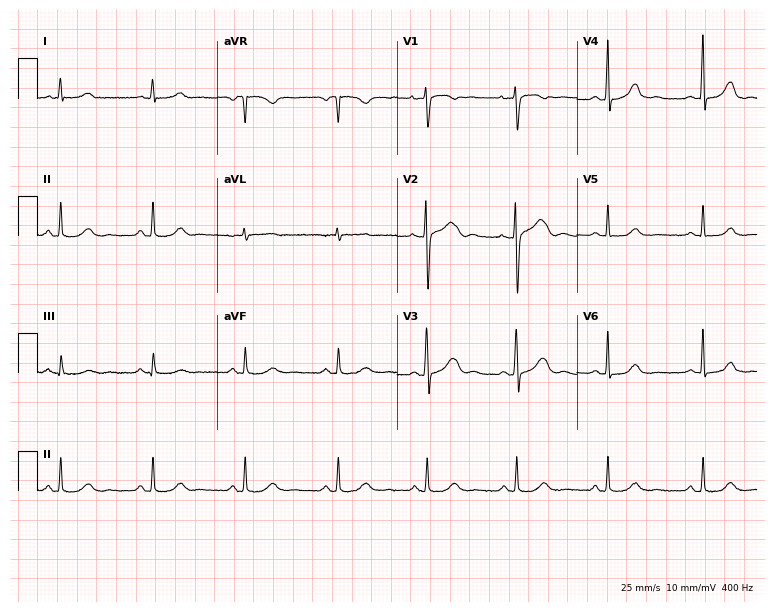
Electrocardiogram (7.3-second recording at 400 Hz), a 46-year-old female. Of the six screened findings (first-degree AV block, right bundle branch block, left bundle branch block, sinus bradycardia, atrial fibrillation, sinus tachycardia), none is recorded. Findings outside these six are not listed.